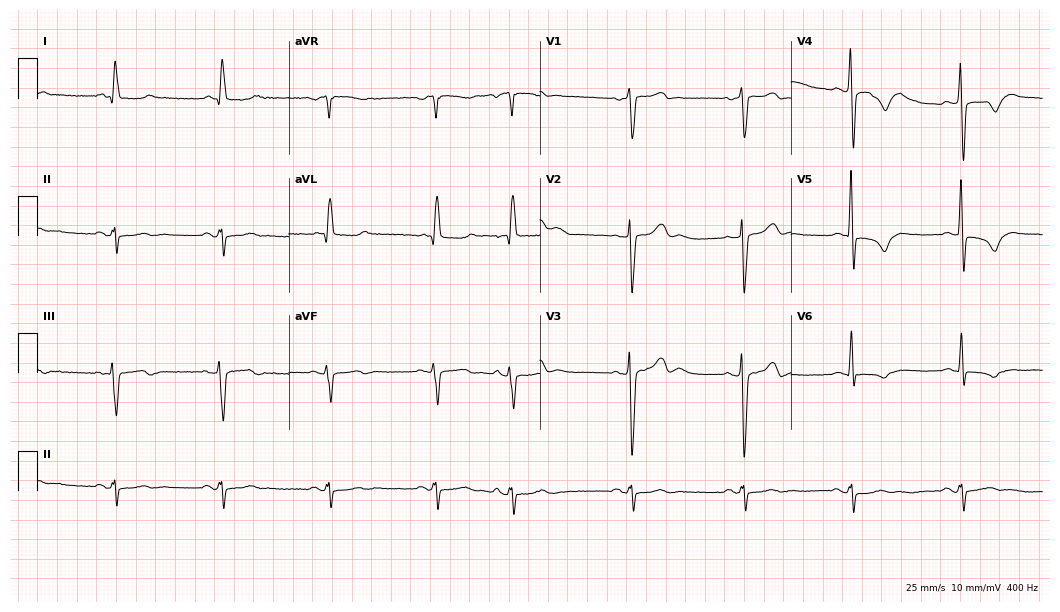
12-lead ECG (10.2-second recording at 400 Hz) from a male, 64 years old. Screened for six findings — first-degree AV block, right bundle branch block, left bundle branch block, sinus bradycardia, atrial fibrillation, sinus tachycardia — none is recorded. Only these six findings were labelled.